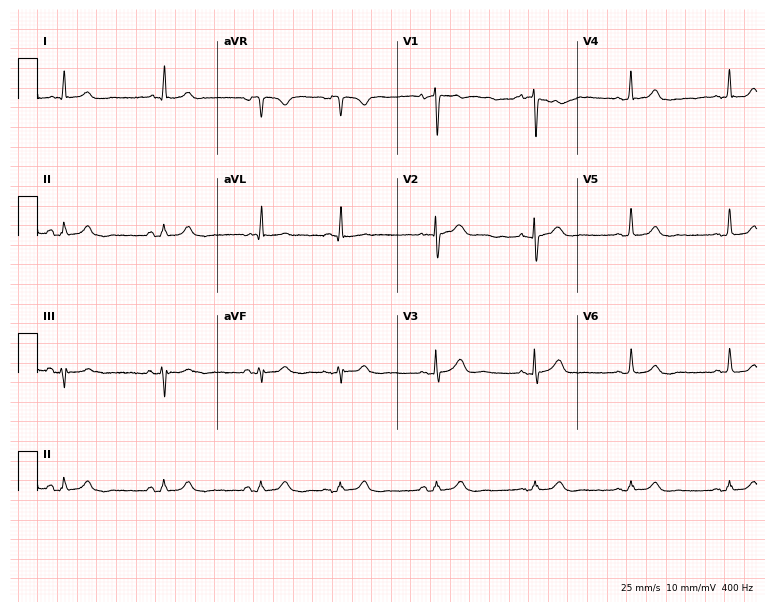
Electrocardiogram (7.3-second recording at 400 Hz), a 64-year-old female. Overall reading on record: normal ECG.